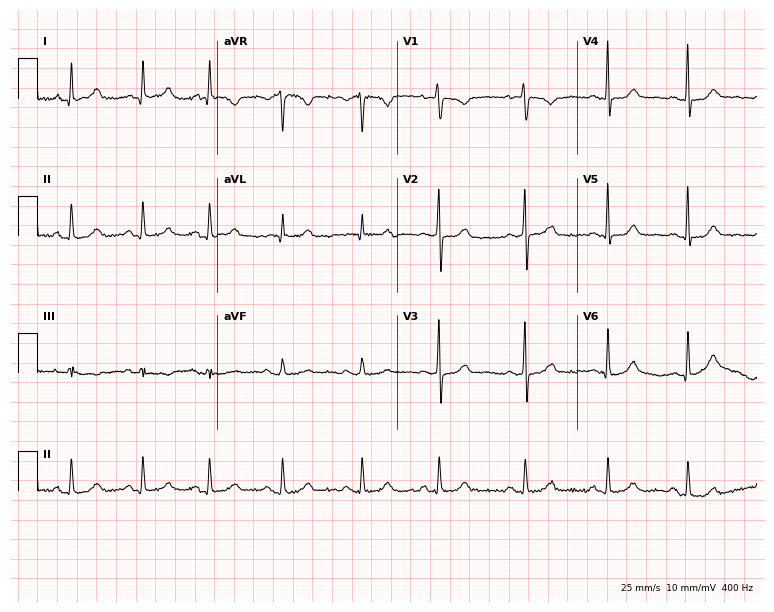
12-lead ECG from a 20-year-old woman (7.3-second recording at 400 Hz). Recorded interpretation: within normal limits.